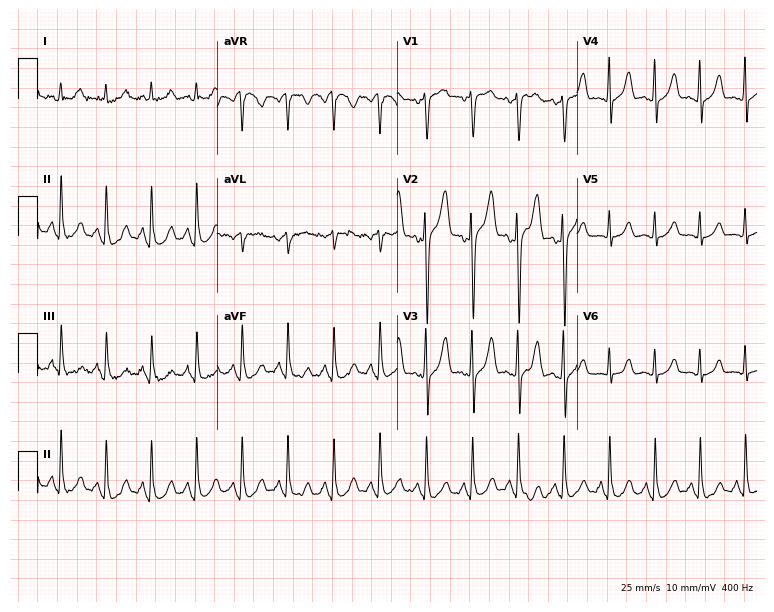
ECG (7.3-second recording at 400 Hz) — a woman, 35 years old. Findings include sinus tachycardia (a sinus rate of 100 beats per minute or more).